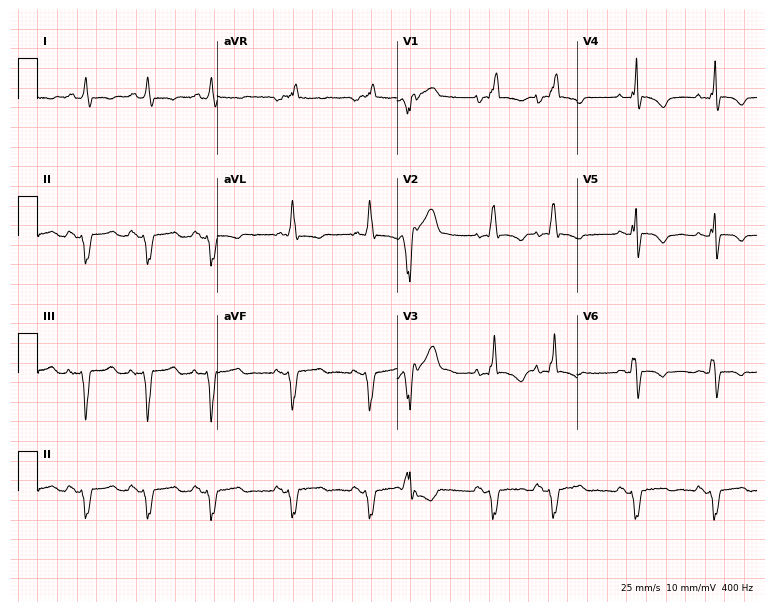
Standard 12-lead ECG recorded from a 58-year-old female patient. The tracing shows right bundle branch block (RBBB).